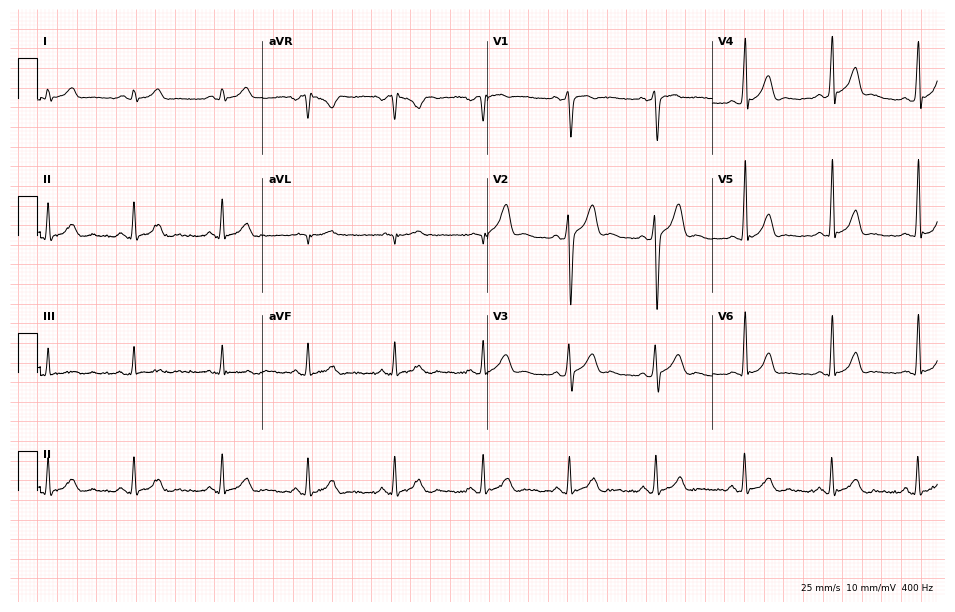
12-lead ECG from a man, 21 years old (9.2-second recording at 400 Hz). Recorded interpretation: within normal limits.